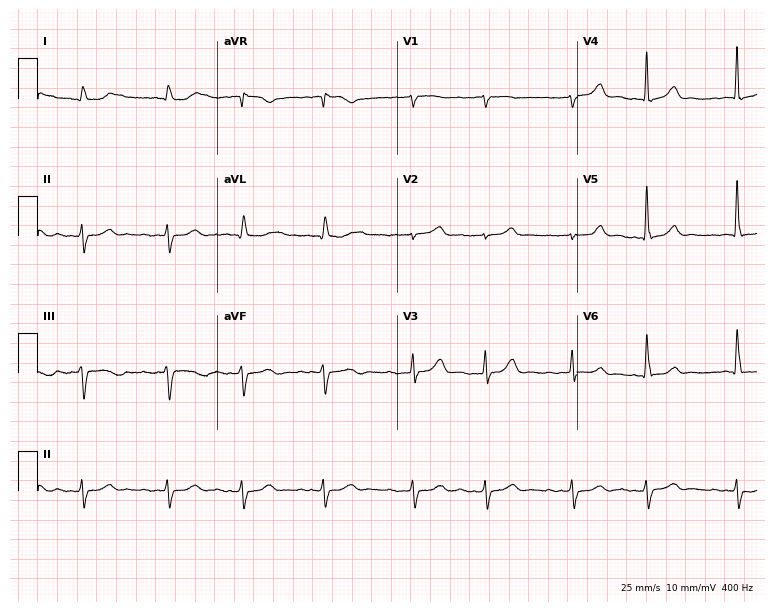
12-lead ECG (7.3-second recording at 400 Hz) from a man, 84 years old. Findings include atrial fibrillation.